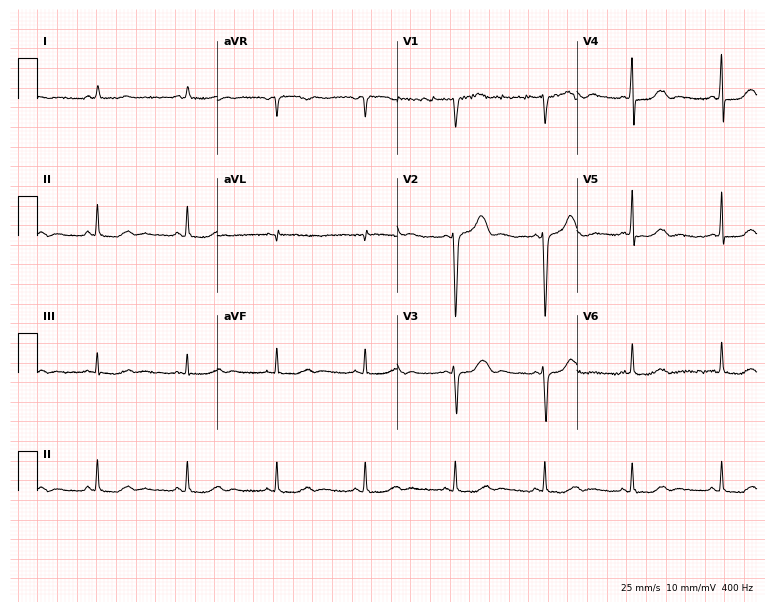
12-lead ECG (7.3-second recording at 400 Hz) from a 43-year-old female. Labelled as a normal ECG.